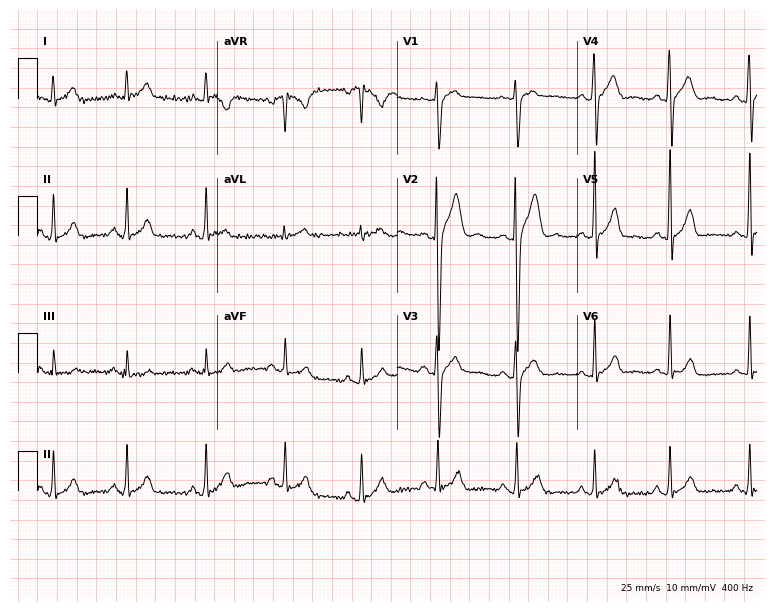
12-lead ECG from a 25-year-old male. Labelled as a normal ECG.